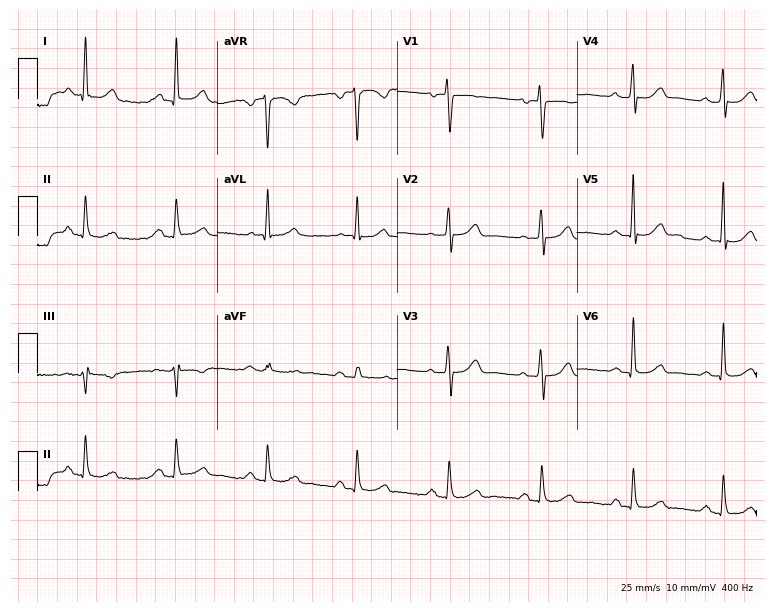
12-lead ECG from a 64-year-old woman (7.3-second recording at 400 Hz). No first-degree AV block, right bundle branch block (RBBB), left bundle branch block (LBBB), sinus bradycardia, atrial fibrillation (AF) or sinus tachycardia recorded for this tracing. Only these six findings were labelled.